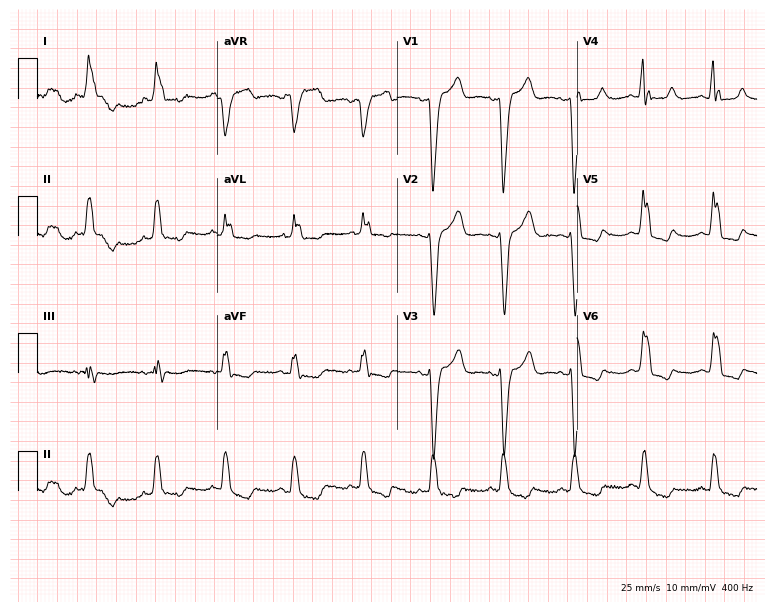
Standard 12-lead ECG recorded from a 78-year-old female patient (7.3-second recording at 400 Hz). The tracing shows left bundle branch block.